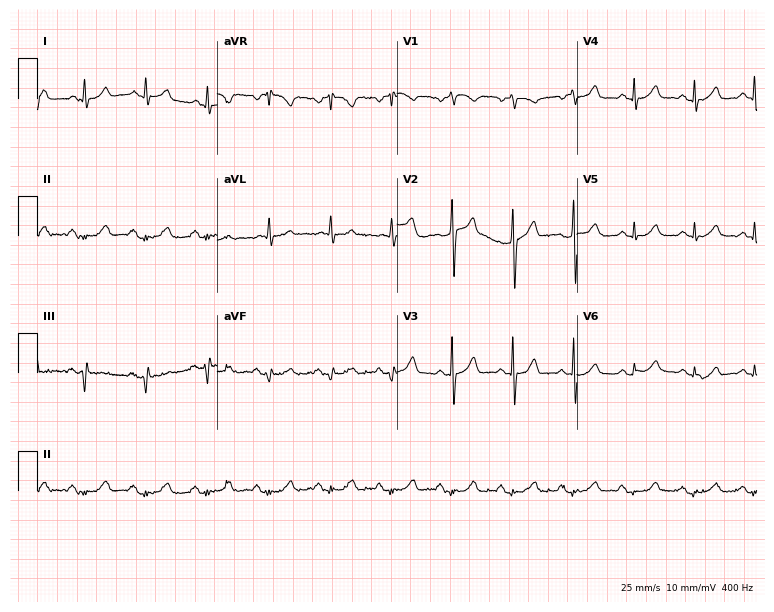
12-lead ECG from a man, 61 years old (7.3-second recording at 400 Hz). Recorded interpretation: within normal limits.